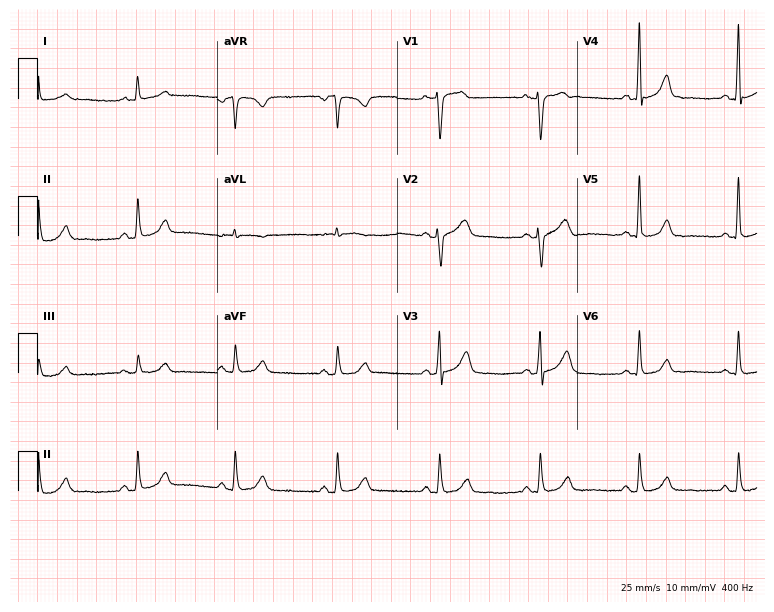
Electrocardiogram (7.3-second recording at 400 Hz), a male patient, 49 years old. Overall reading on record: normal ECG.